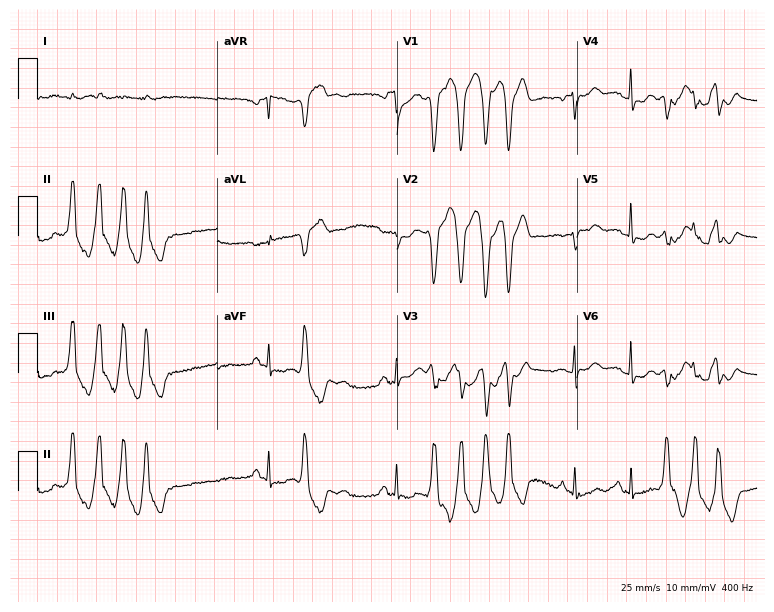
Standard 12-lead ECG recorded from a male, 66 years old. None of these six findings is recorded: first-degree AV block, right bundle branch block (RBBB), left bundle branch block (LBBB), sinus bradycardia, atrial fibrillation (AF), sinus tachycardia. Findings outside these six are not listed.